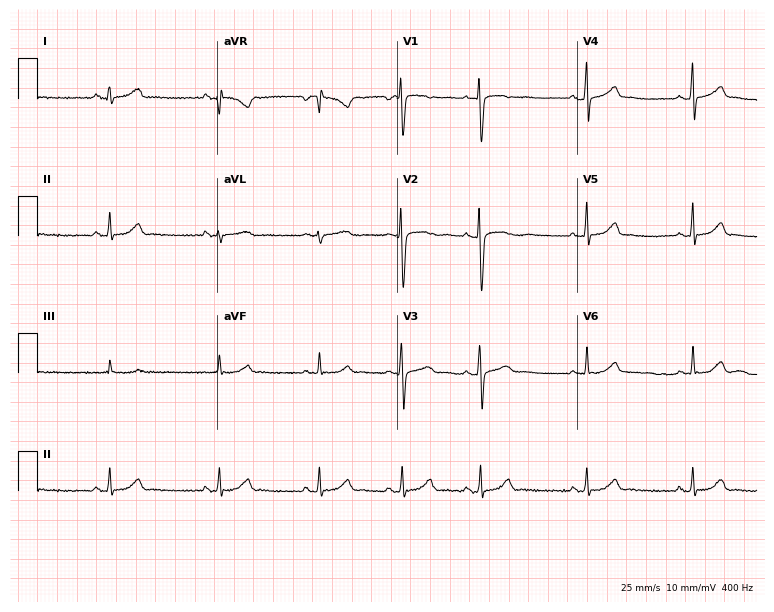
12-lead ECG from a woman, 18 years old (7.3-second recording at 400 Hz). Recorded interpretation: within normal limits.